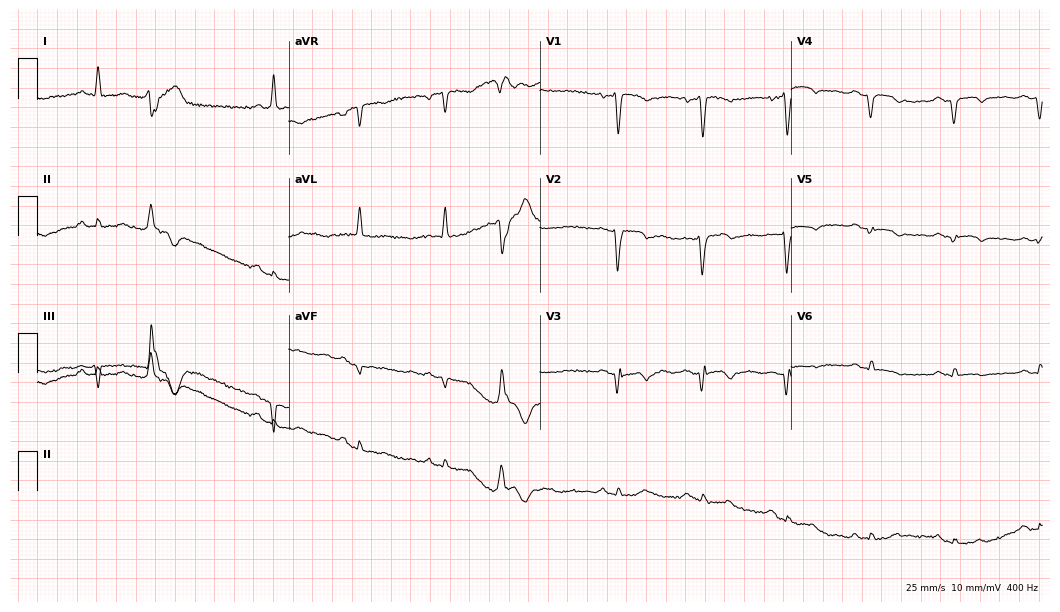
Standard 12-lead ECG recorded from a female, 74 years old (10.2-second recording at 400 Hz). None of these six findings is recorded: first-degree AV block, right bundle branch block (RBBB), left bundle branch block (LBBB), sinus bradycardia, atrial fibrillation (AF), sinus tachycardia.